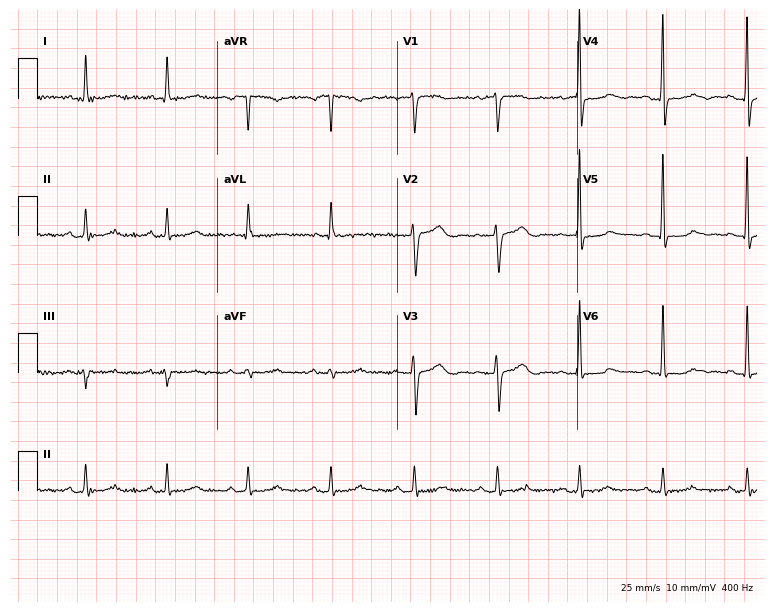
Standard 12-lead ECG recorded from a woman, 60 years old (7.3-second recording at 400 Hz). Read as a normal ECG.